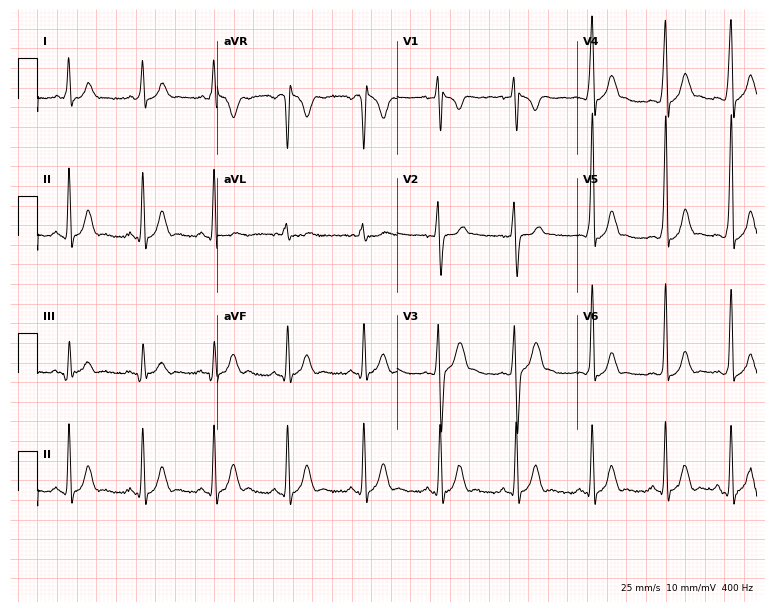
Resting 12-lead electrocardiogram (7.3-second recording at 400 Hz). Patient: a 21-year-old male. None of these six findings is recorded: first-degree AV block, right bundle branch block, left bundle branch block, sinus bradycardia, atrial fibrillation, sinus tachycardia.